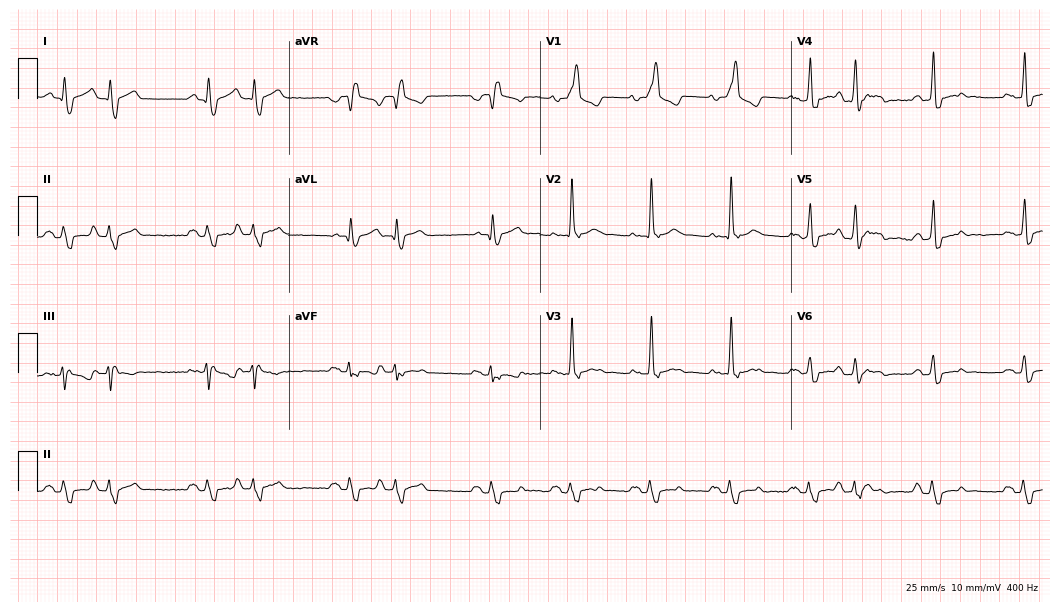
ECG (10.2-second recording at 400 Hz) — a male, 63 years old. Findings include right bundle branch block.